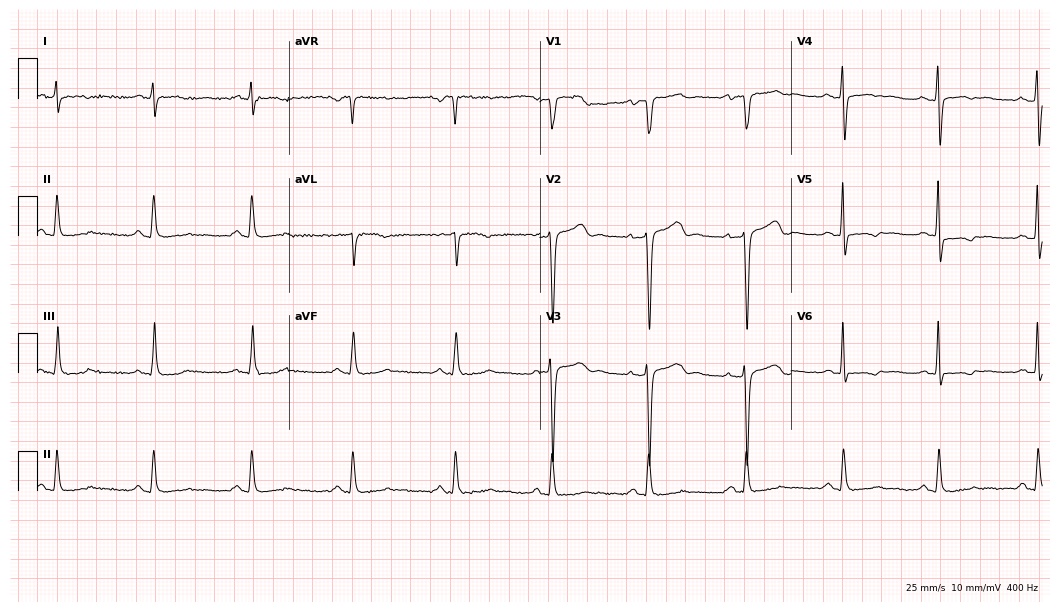
ECG (10.2-second recording at 400 Hz) — a 51-year-old male. Screened for six findings — first-degree AV block, right bundle branch block, left bundle branch block, sinus bradycardia, atrial fibrillation, sinus tachycardia — none is recorded. Other findings, if any, are not listed.